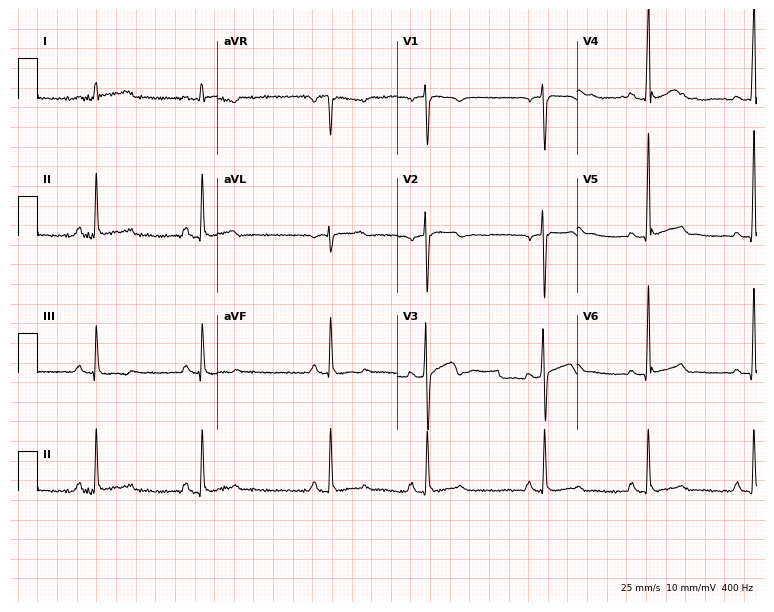
12-lead ECG from a male, 19 years old. Recorded interpretation: within normal limits.